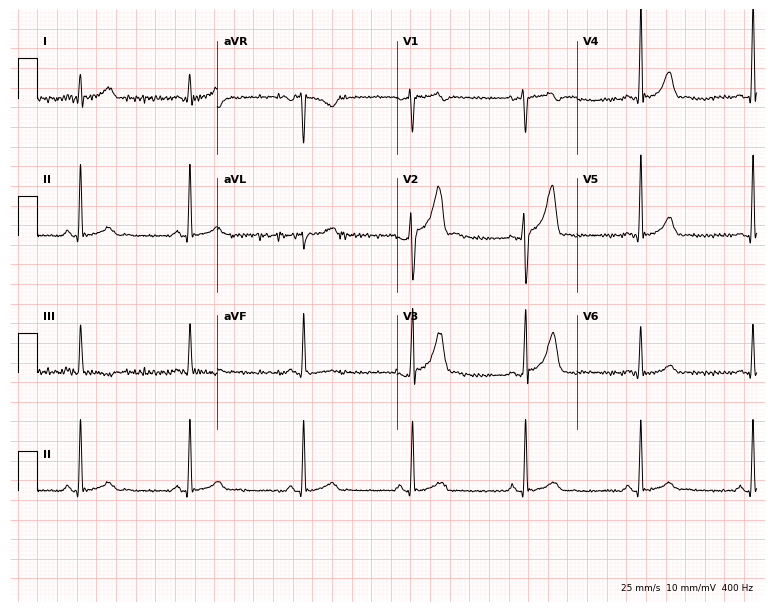
ECG (7.3-second recording at 400 Hz) — a 38-year-old male. Labelled as a normal ECG.